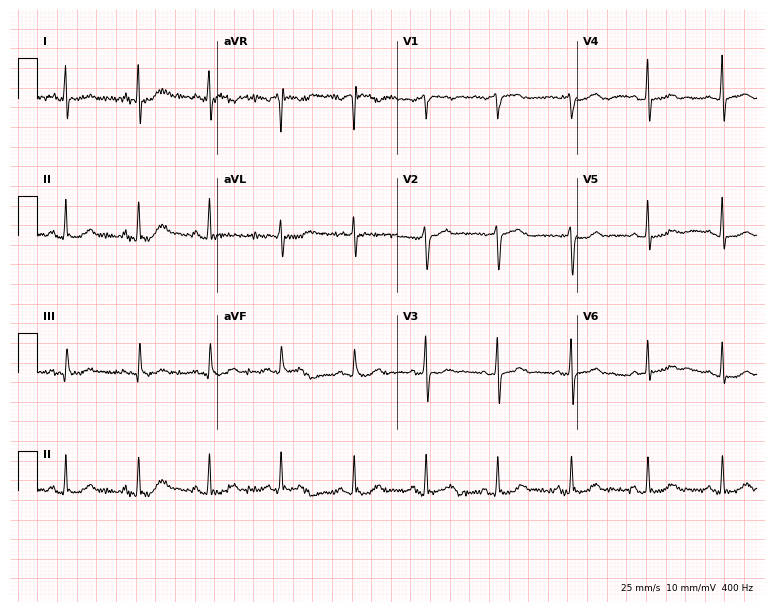
12-lead ECG from a female patient, 66 years old. No first-degree AV block, right bundle branch block, left bundle branch block, sinus bradycardia, atrial fibrillation or sinus tachycardia recorded for this tracing. Only these six findings were labelled.